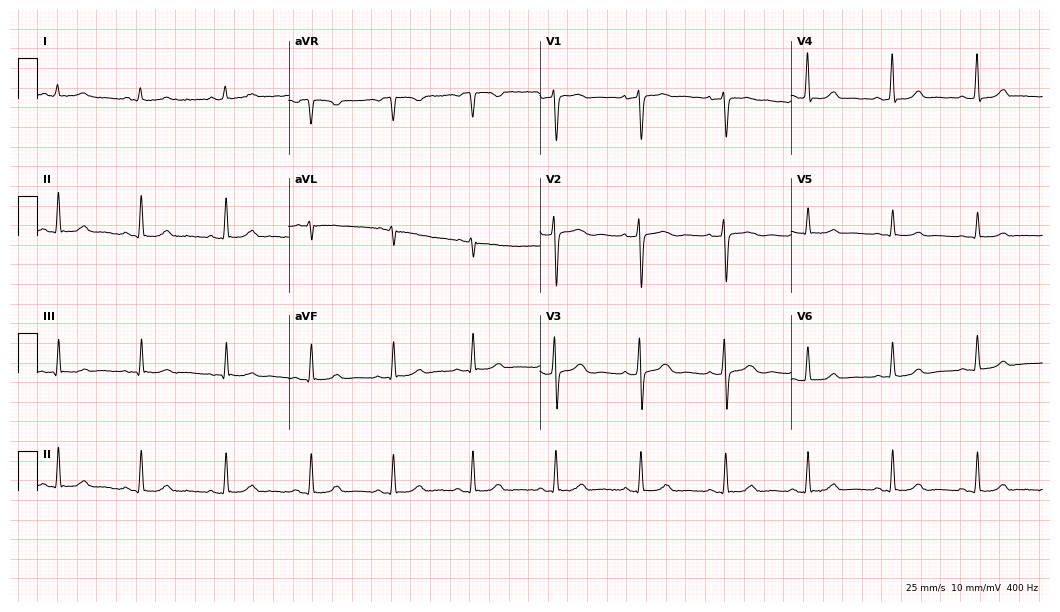
ECG (10.2-second recording at 400 Hz) — a female patient, 28 years old. Labelled as a normal ECG.